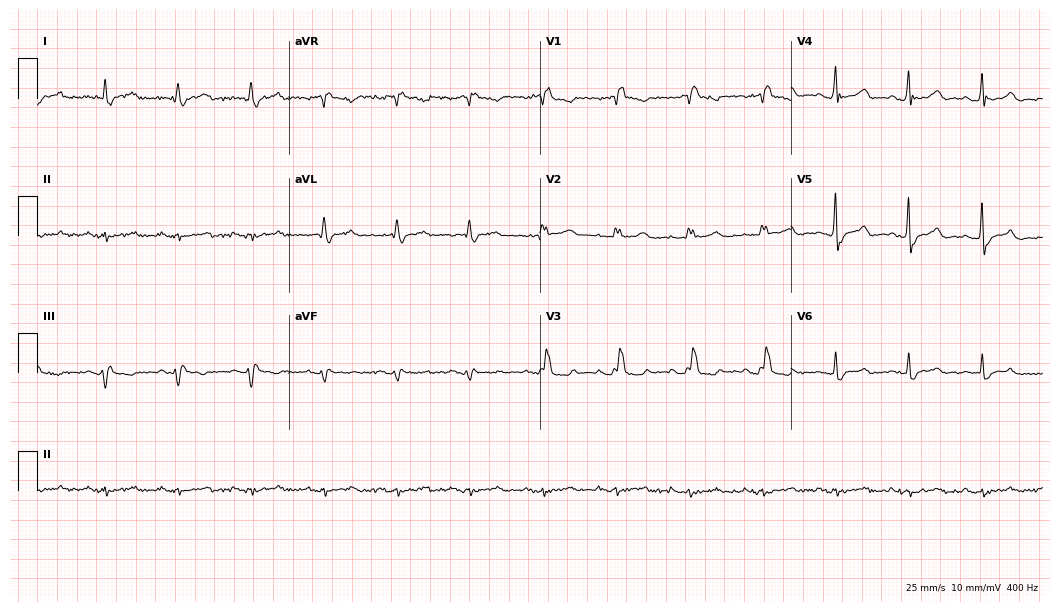
12-lead ECG (10.2-second recording at 400 Hz) from a male patient, 78 years old. Screened for six findings — first-degree AV block, right bundle branch block, left bundle branch block, sinus bradycardia, atrial fibrillation, sinus tachycardia — none is recorded.